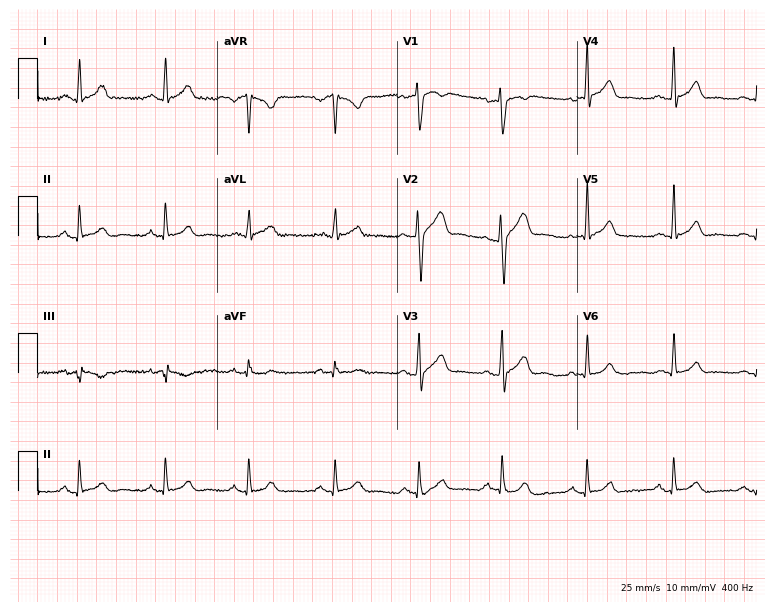
Resting 12-lead electrocardiogram. Patient: a male, 32 years old. Read as a normal ECG.